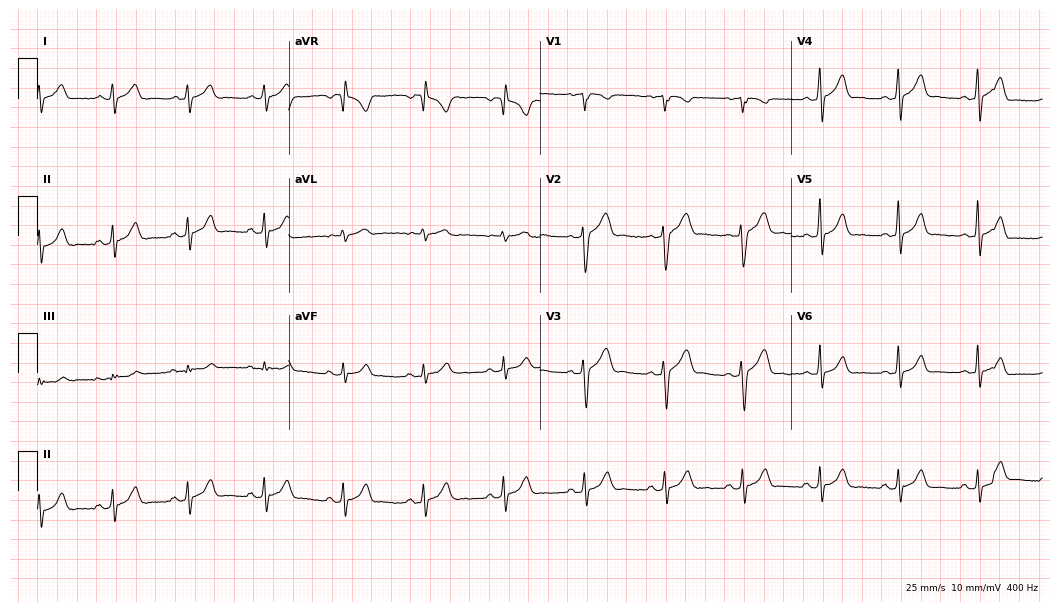
ECG — a male, 30 years old. Labelled as a normal ECG.